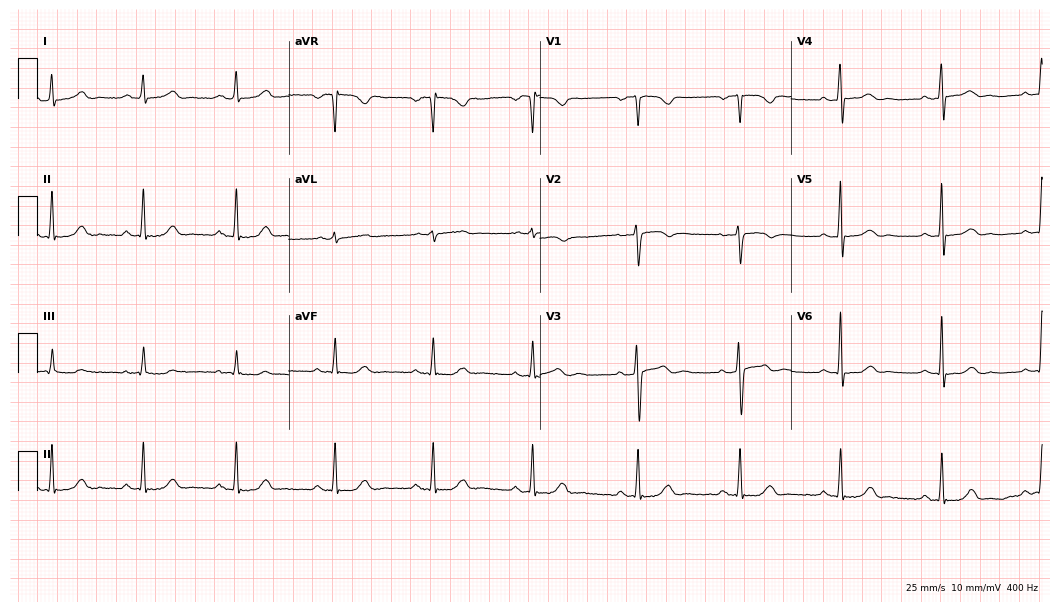
12-lead ECG from a 41-year-old female patient (10.2-second recording at 400 Hz). Recorded interpretation: within normal limits.